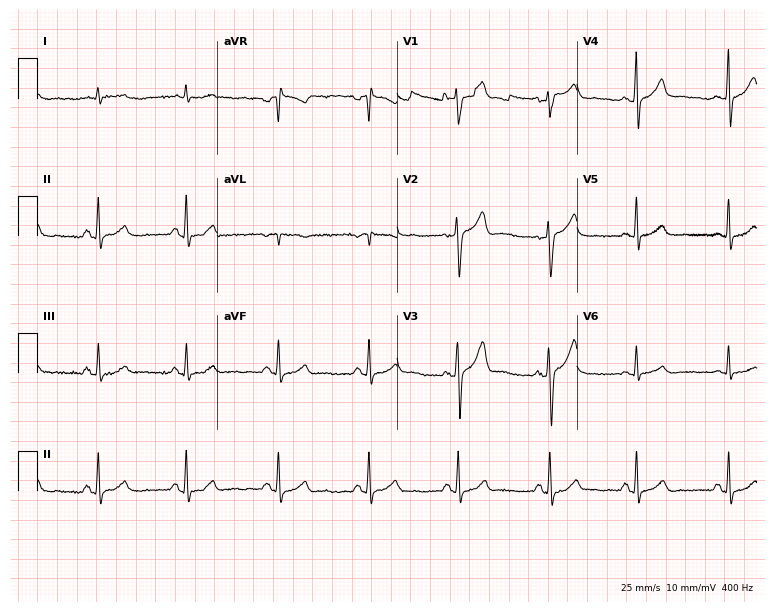
12-lead ECG from a 57-year-old male (7.3-second recording at 400 Hz). Recorded interpretation: within normal limits.